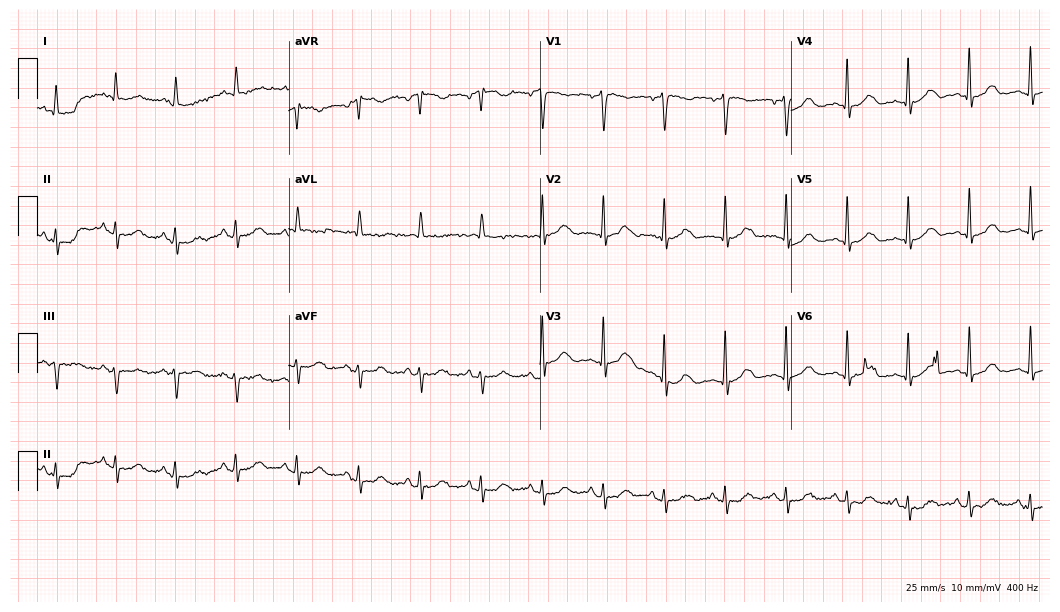
ECG — an 81-year-old female. Screened for six findings — first-degree AV block, right bundle branch block (RBBB), left bundle branch block (LBBB), sinus bradycardia, atrial fibrillation (AF), sinus tachycardia — none is recorded.